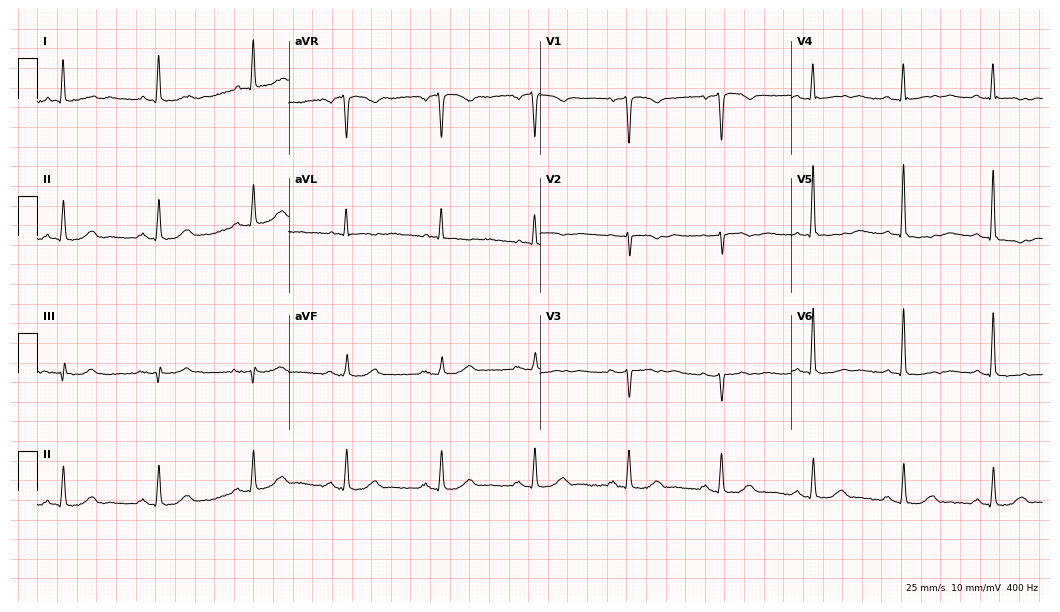
12-lead ECG from an 80-year-old male patient. Screened for six findings — first-degree AV block, right bundle branch block (RBBB), left bundle branch block (LBBB), sinus bradycardia, atrial fibrillation (AF), sinus tachycardia — none is recorded.